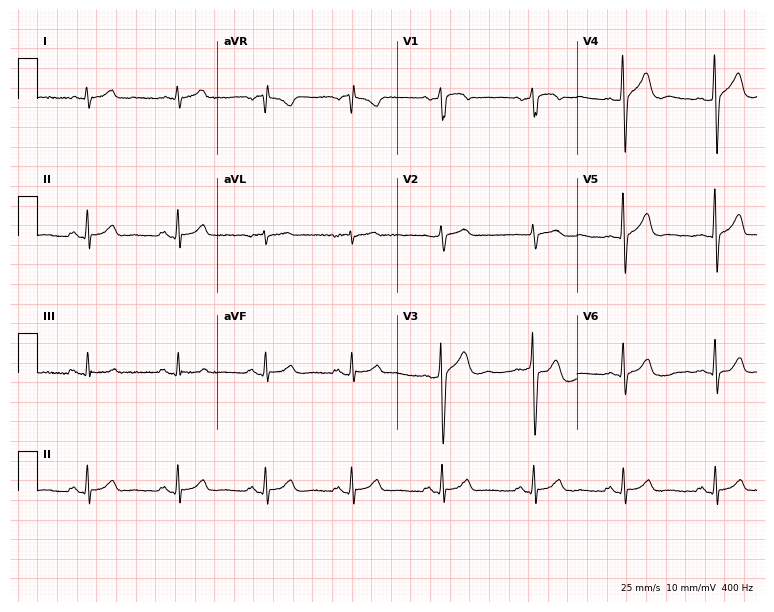
12-lead ECG from a man, 53 years old. Recorded interpretation: within normal limits.